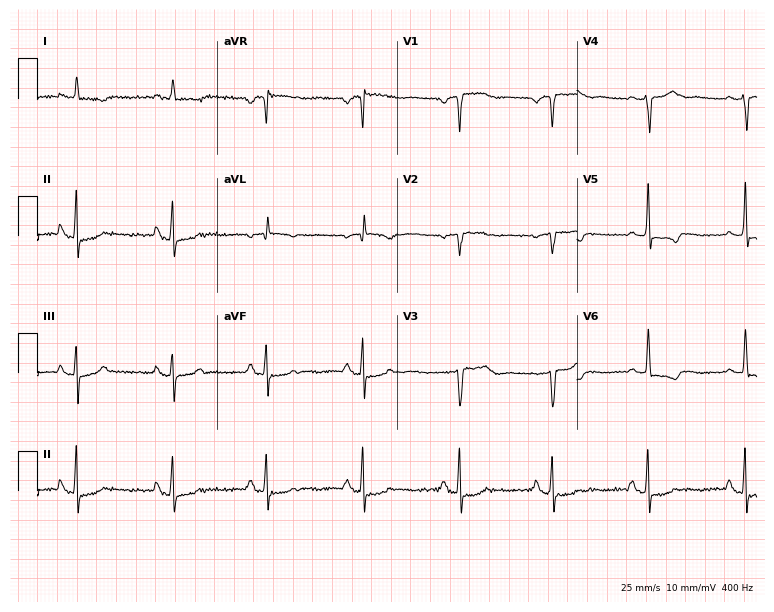
ECG (7.3-second recording at 400 Hz) — a man, 82 years old. Screened for six findings — first-degree AV block, right bundle branch block, left bundle branch block, sinus bradycardia, atrial fibrillation, sinus tachycardia — none is recorded. Only these six findings were labelled.